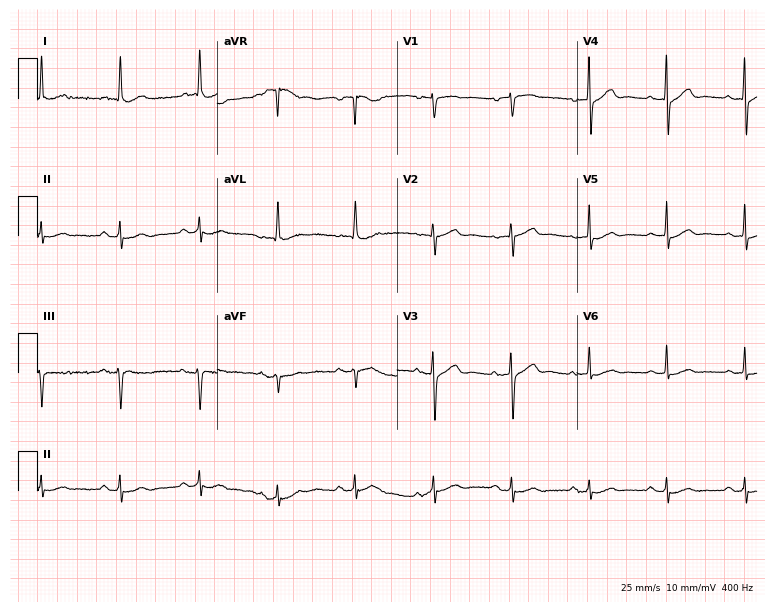
12-lead ECG from a woman, 80 years old. Recorded interpretation: within normal limits.